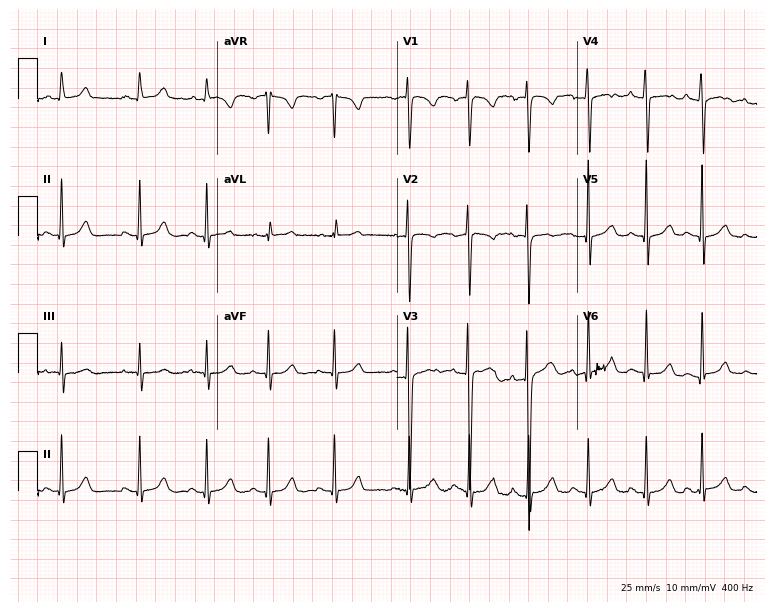
Resting 12-lead electrocardiogram. Patient: a 20-year-old female. Read as a normal ECG.